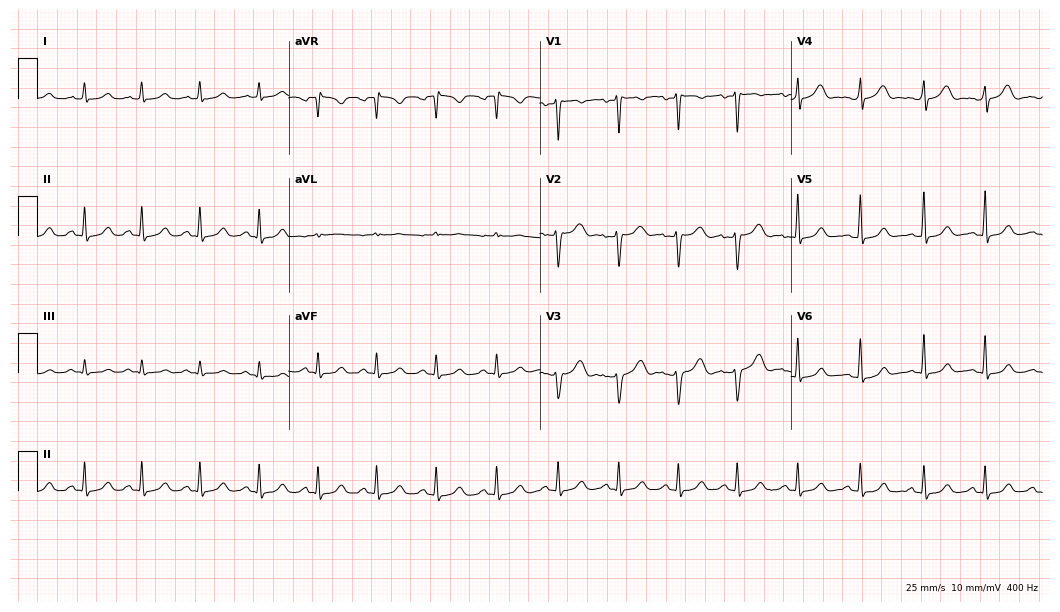
ECG — a 38-year-old female. Labelled as a normal ECG.